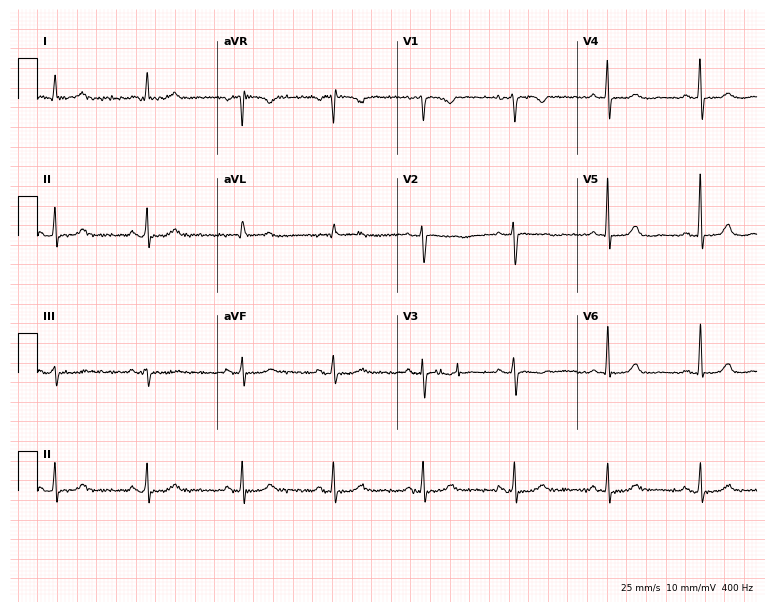
Resting 12-lead electrocardiogram (7.3-second recording at 400 Hz). Patient: an 84-year-old woman. Read as a normal ECG.